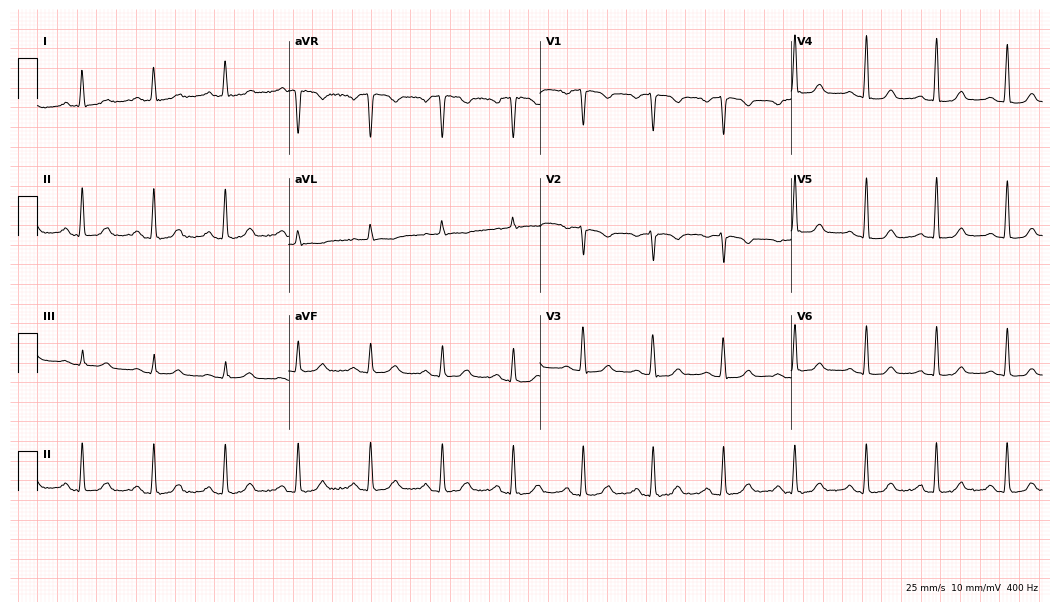
12-lead ECG (10.2-second recording at 400 Hz) from a 48-year-old female patient. Labelled as a normal ECG.